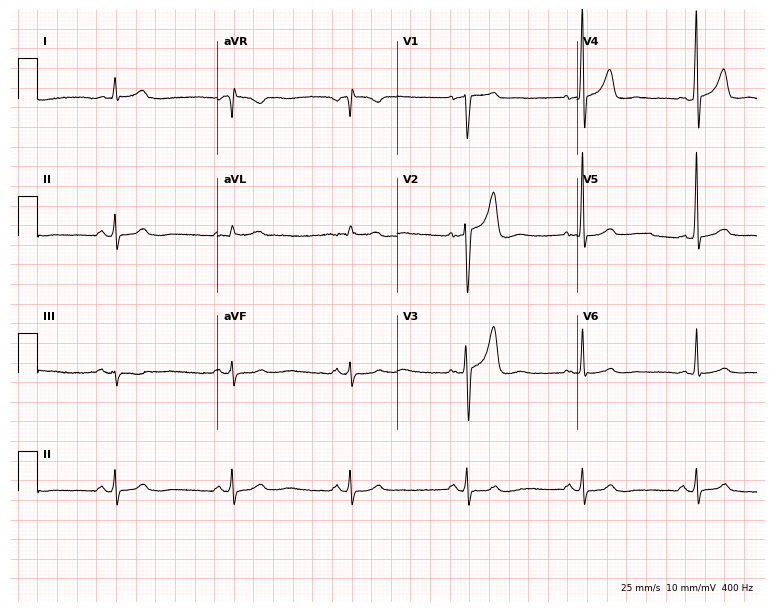
Resting 12-lead electrocardiogram. Patient: a male, 45 years old. None of these six findings is recorded: first-degree AV block, right bundle branch block (RBBB), left bundle branch block (LBBB), sinus bradycardia, atrial fibrillation (AF), sinus tachycardia. Only these six findings were labelled.